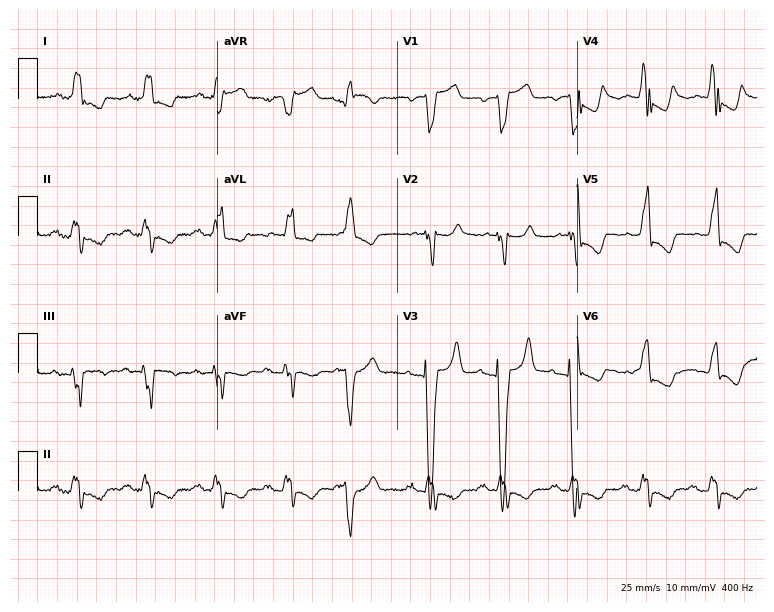
Standard 12-lead ECG recorded from an 86-year-old female (7.3-second recording at 400 Hz). The tracing shows left bundle branch block.